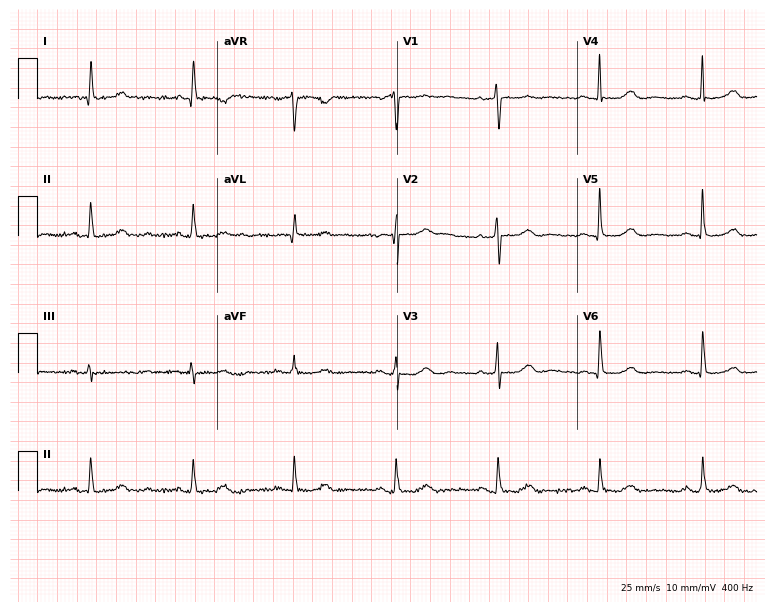
Standard 12-lead ECG recorded from a 76-year-old woman (7.3-second recording at 400 Hz). None of these six findings is recorded: first-degree AV block, right bundle branch block (RBBB), left bundle branch block (LBBB), sinus bradycardia, atrial fibrillation (AF), sinus tachycardia. Only these six findings were labelled.